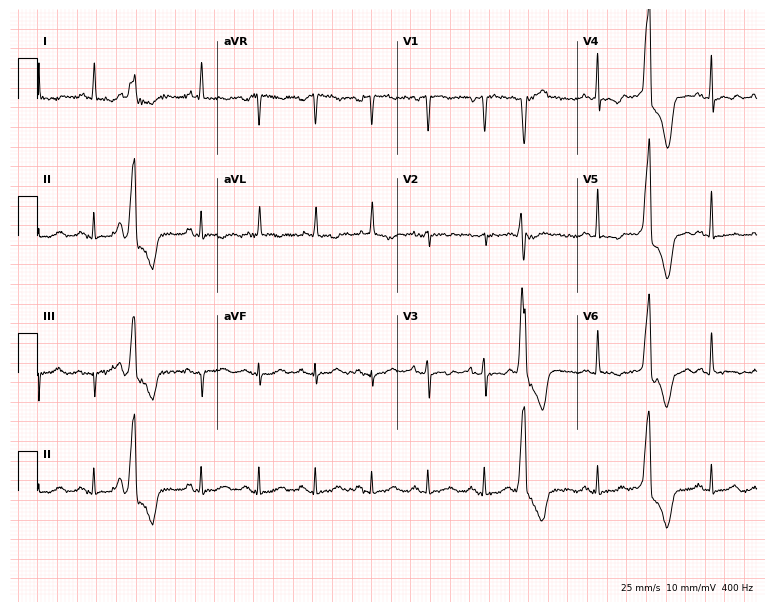
12-lead ECG (7.3-second recording at 400 Hz) from a 68-year-old female. Findings include sinus tachycardia (a sinus rate of 100 beats per minute or more).